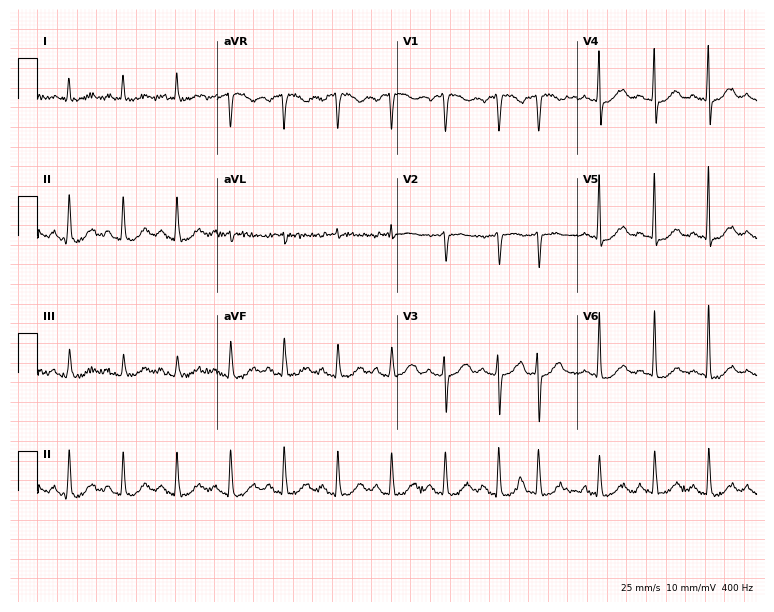
12-lead ECG from a 77-year-old woman (7.3-second recording at 400 Hz). No first-degree AV block, right bundle branch block (RBBB), left bundle branch block (LBBB), sinus bradycardia, atrial fibrillation (AF) or sinus tachycardia recorded for this tracing. Only these six findings were labelled.